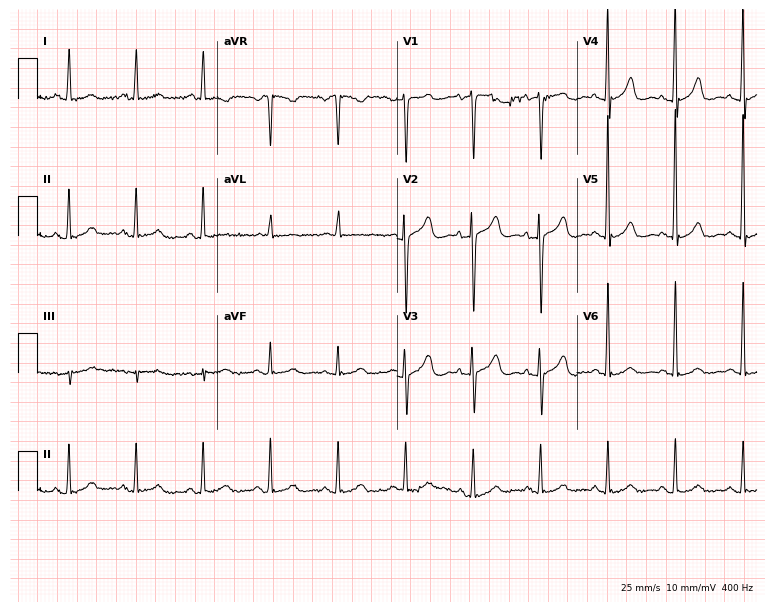
12-lead ECG from a 63-year-old woman. Screened for six findings — first-degree AV block, right bundle branch block, left bundle branch block, sinus bradycardia, atrial fibrillation, sinus tachycardia — none is recorded. Findings outside these six are not listed.